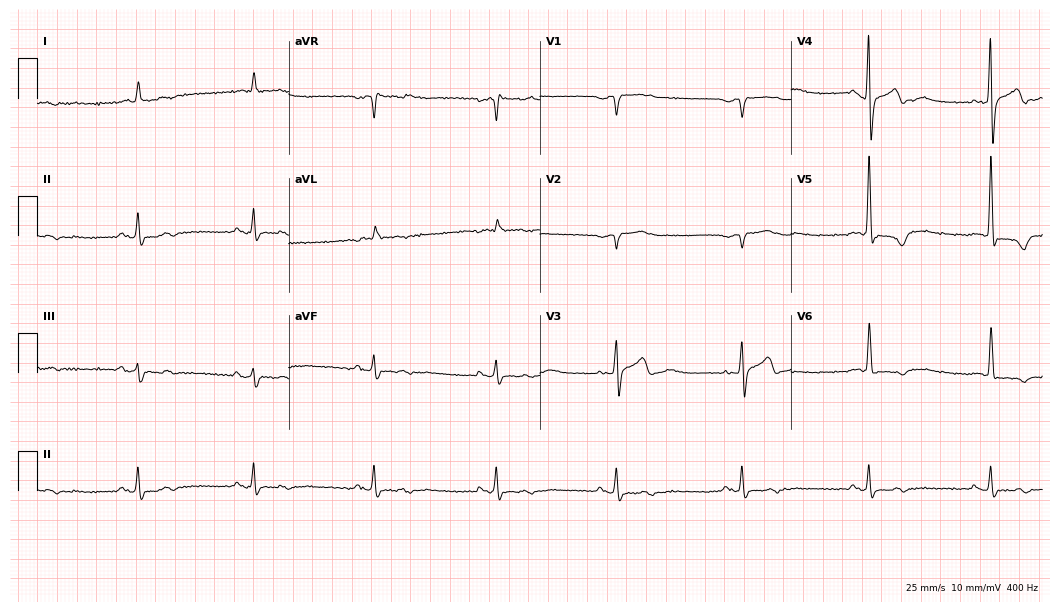
ECG — a man, 77 years old. Screened for six findings — first-degree AV block, right bundle branch block (RBBB), left bundle branch block (LBBB), sinus bradycardia, atrial fibrillation (AF), sinus tachycardia — none is recorded. Findings outside these six are not listed.